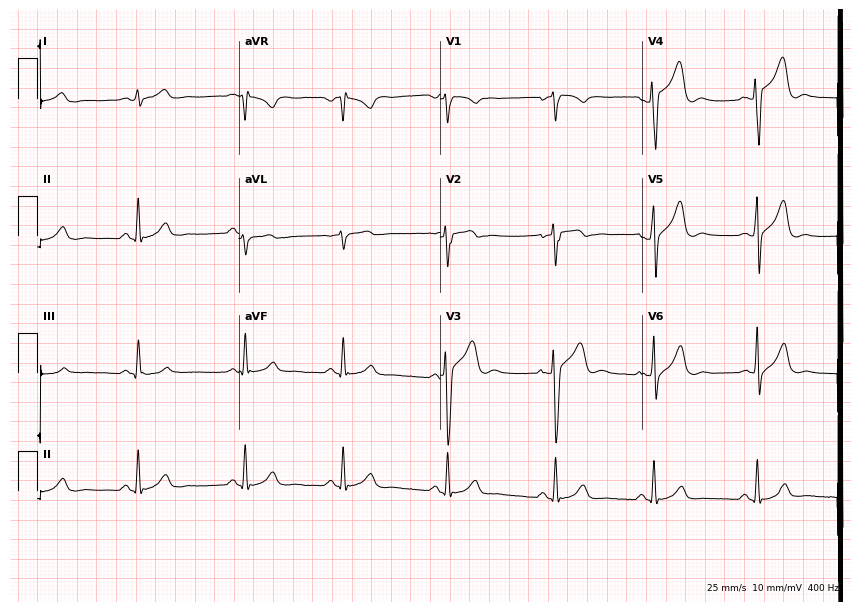
ECG (8.2-second recording at 400 Hz) — a 19-year-old man. Screened for six findings — first-degree AV block, right bundle branch block, left bundle branch block, sinus bradycardia, atrial fibrillation, sinus tachycardia — none is recorded. Findings outside these six are not listed.